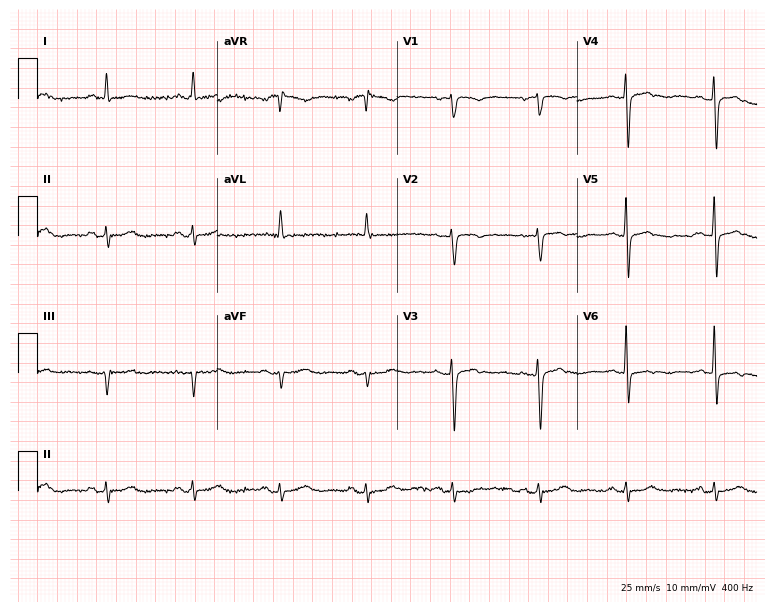
ECG — a 74-year-old woman. Screened for six findings — first-degree AV block, right bundle branch block (RBBB), left bundle branch block (LBBB), sinus bradycardia, atrial fibrillation (AF), sinus tachycardia — none is recorded. Only these six findings were labelled.